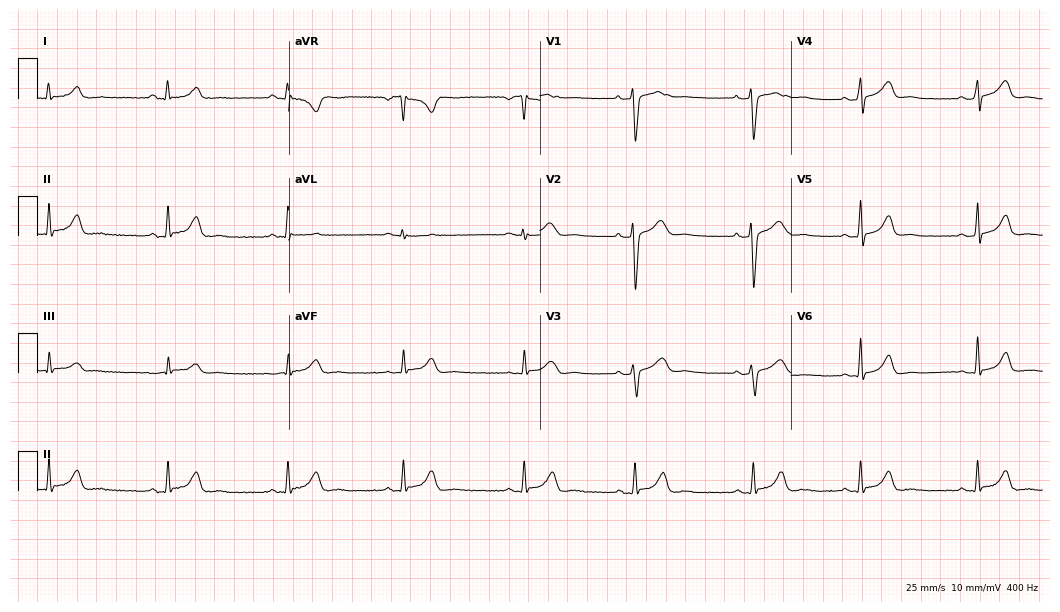
Standard 12-lead ECG recorded from a woman, 27 years old (10.2-second recording at 400 Hz). Read as a normal ECG.